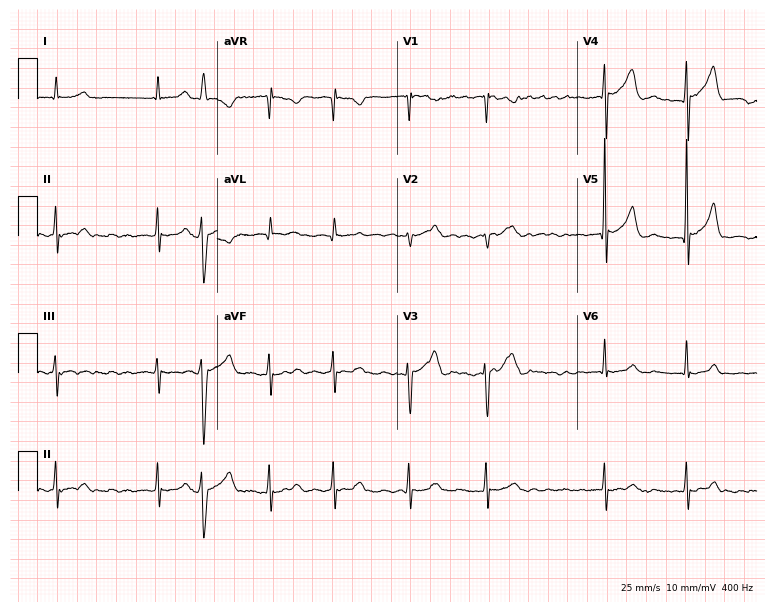
12-lead ECG from a man, 70 years old. Findings include atrial fibrillation.